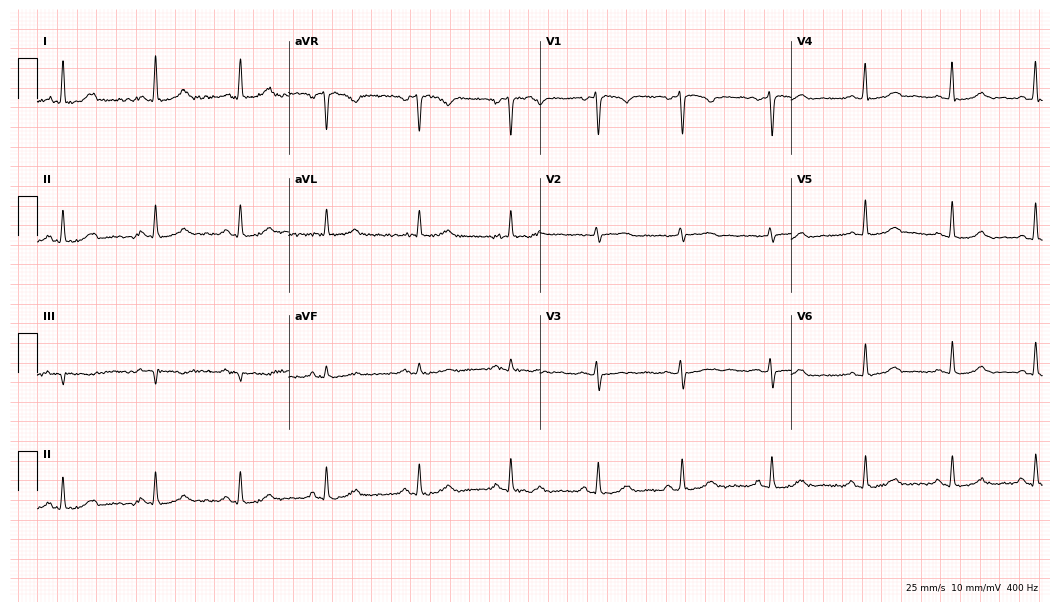
ECG (10.2-second recording at 400 Hz) — a 47-year-old female patient. Labelled as a normal ECG.